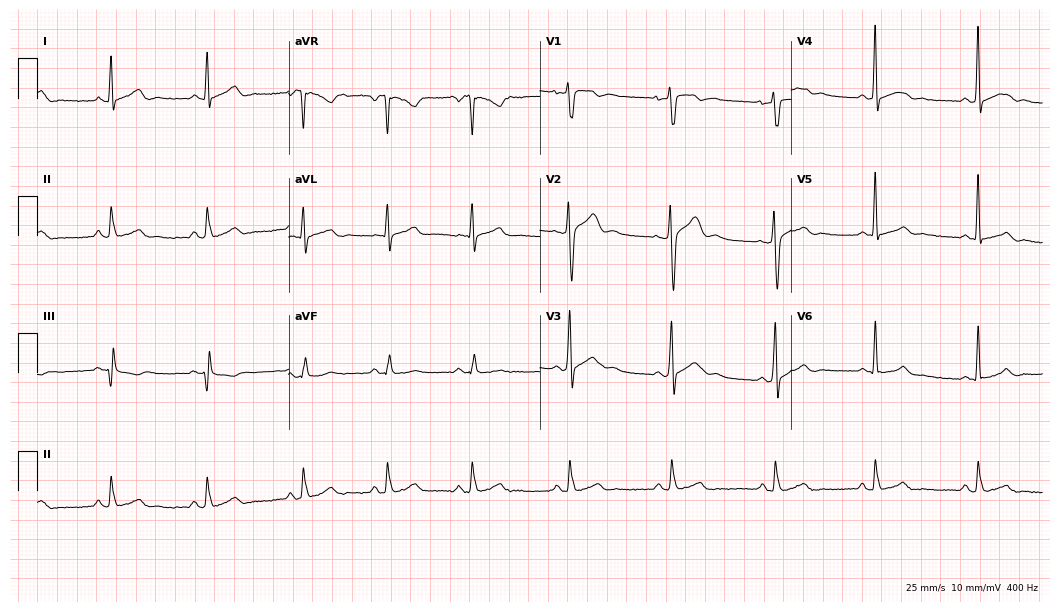
Standard 12-lead ECG recorded from a 36-year-old male. None of these six findings is recorded: first-degree AV block, right bundle branch block, left bundle branch block, sinus bradycardia, atrial fibrillation, sinus tachycardia.